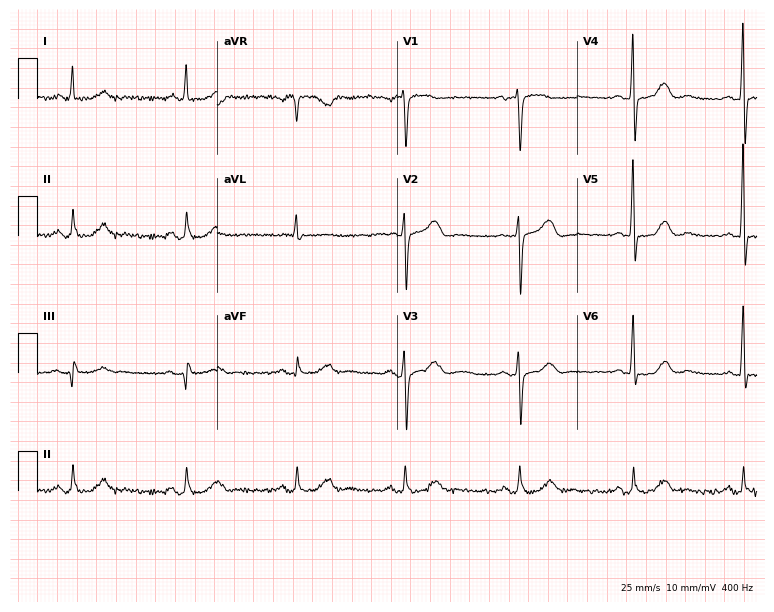
ECG — a 75-year-old woman. Labelled as a normal ECG.